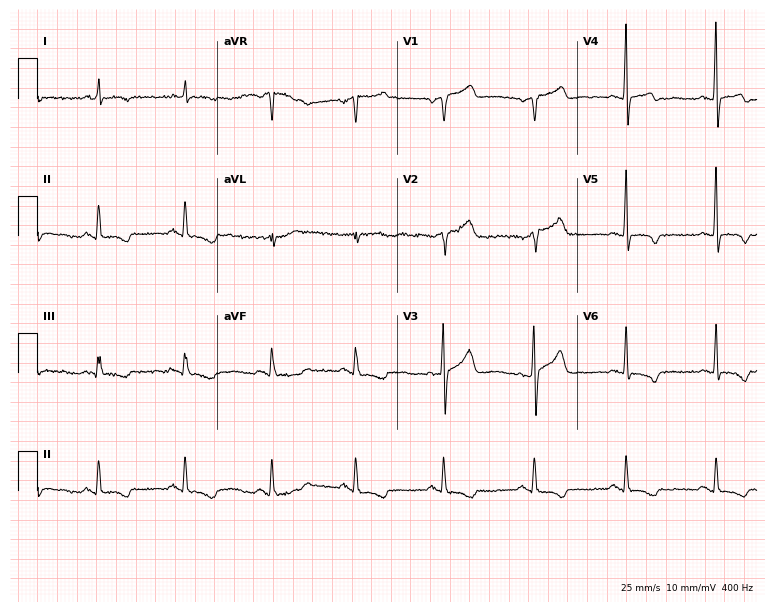
12-lead ECG from a male patient, 66 years old (7.3-second recording at 400 Hz). No first-degree AV block, right bundle branch block (RBBB), left bundle branch block (LBBB), sinus bradycardia, atrial fibrillation (AF) or sinus tachycardia recorded for this tracing. Other findings, if any, are not listed.